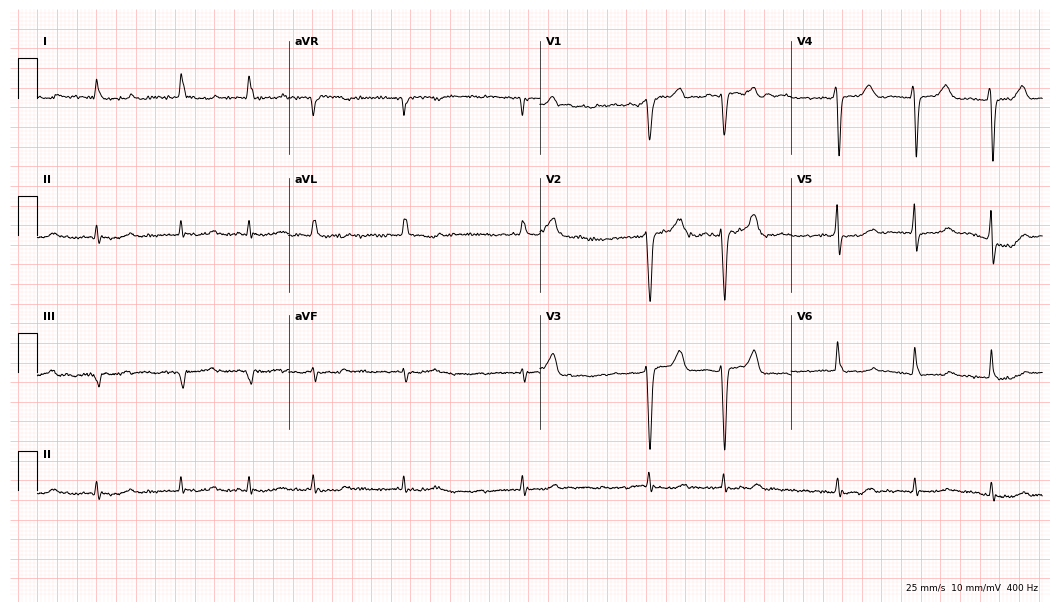
ECG — a man, 75 years old. Findings include atrial fibrillation.